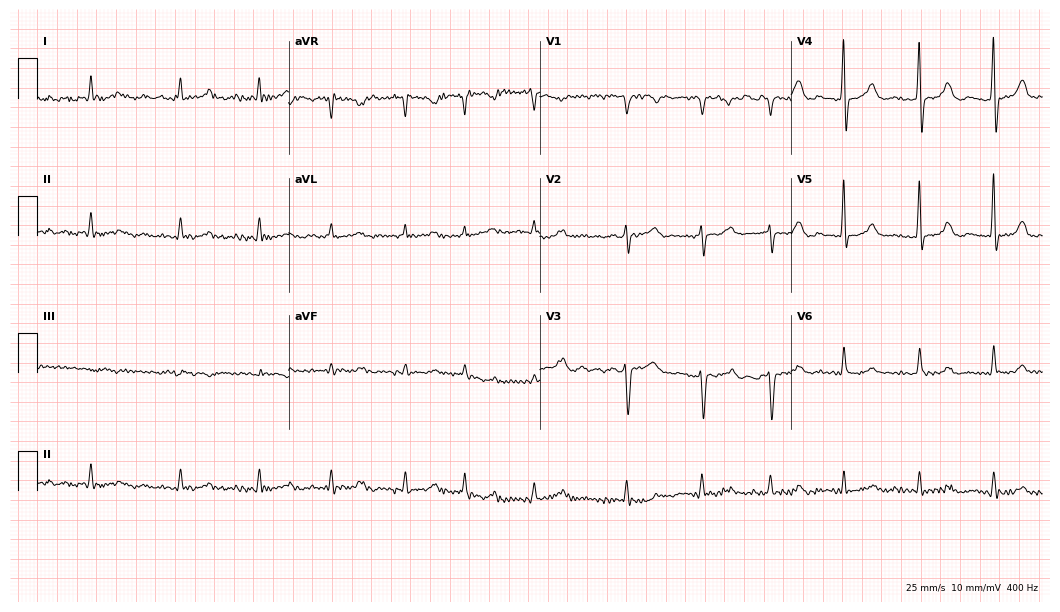
ECG — a 68-year-old female patient. Screened for six findings — first-degree AV block, right bundle branch block, left bundle branch block, sinus bradycardia, atrial fibrillation, sinus tachycardia — none is recorded. Only these six findings were labelled.